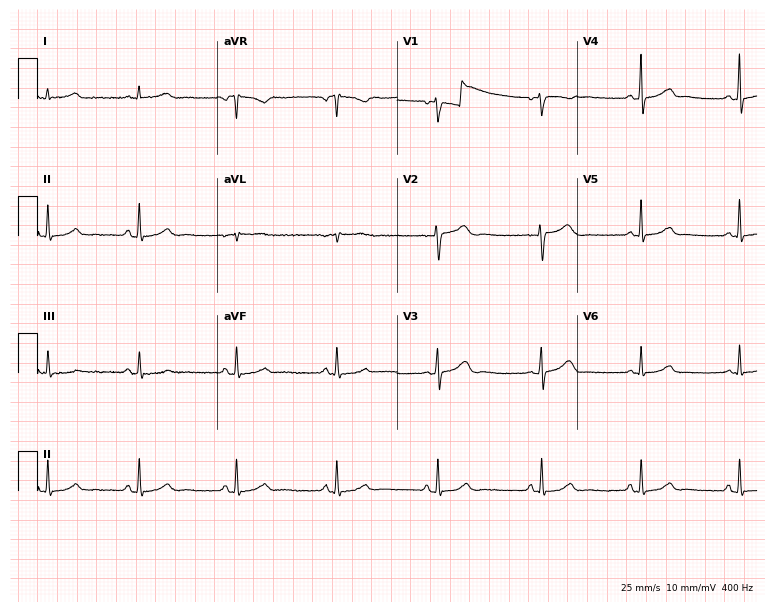
Electrocardiogram, a female patient, 38 years old. Overall reading on record: normal ECG.